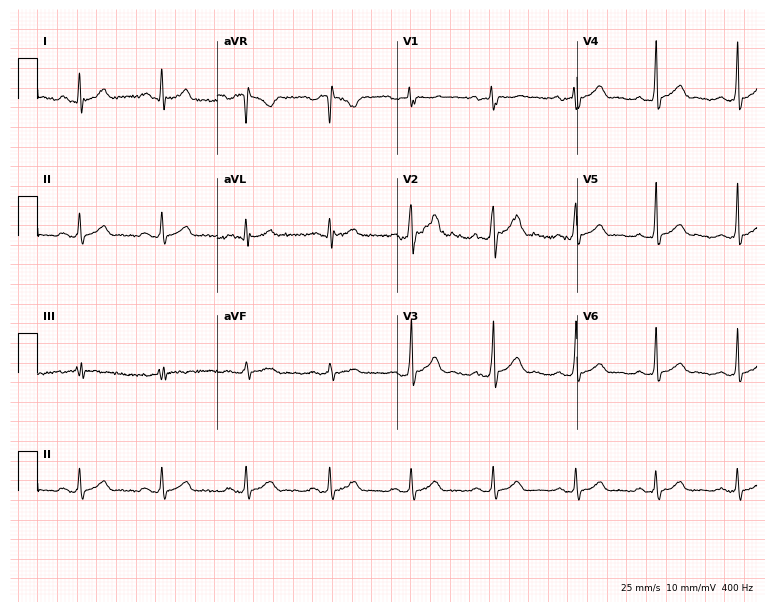
Standard 12-lead ECG recorded from a male, 38 years old (7.3-second recording at 400 Hz). None of these six findings is recorded: first-degree AV block, right bundle branch block, left bundle branch block, sinus bradycardia, atrial fibrillation, sinus tachycardia.